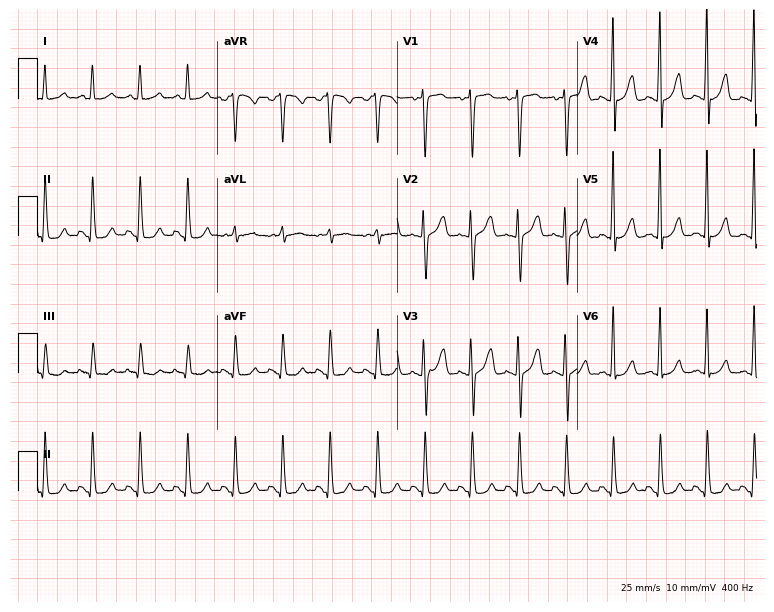
ECG (7.3-second recording at 400 Hz) — a 45-year-old female. Findings include sinus tachycardia (a sinus rate of 100 beats per minute or more).